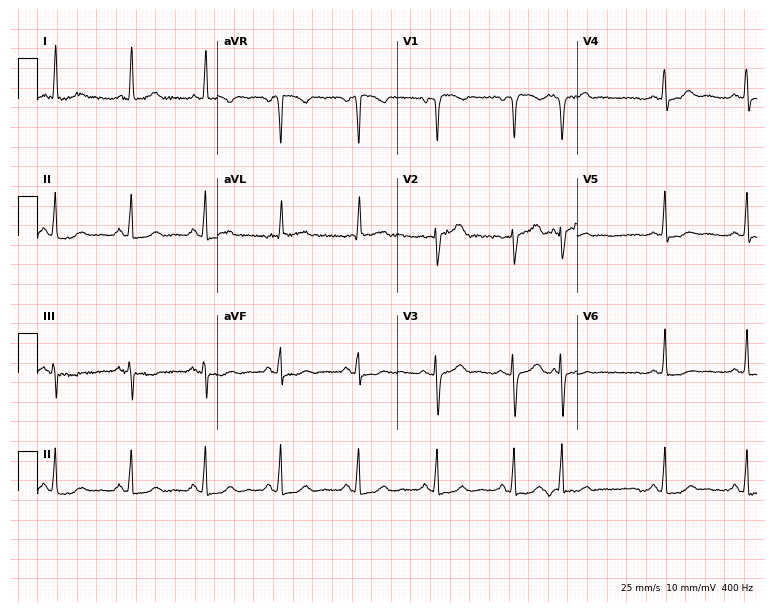
12-lead ECG from a female patient, 51 years old. Screened for six findings — first-degree AV block, right bundle branch block (RBBB), left bundle branch block (LBBB), sinus bradycardia, atrial fibrillation (AF), sinus tachycardia — none is recorded.